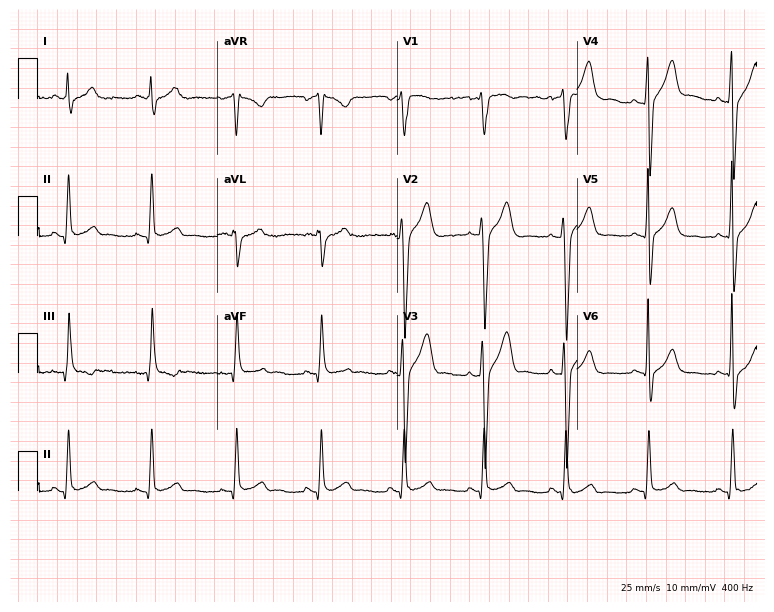
Electrocardiogram, a 46-year-old male patient. Of the six screened findings (first-degree AV block, right bundle branch block, left bundle branch block, sinus bradycardia, atrial fibrillation, sinus tachycardia), none is recorded.